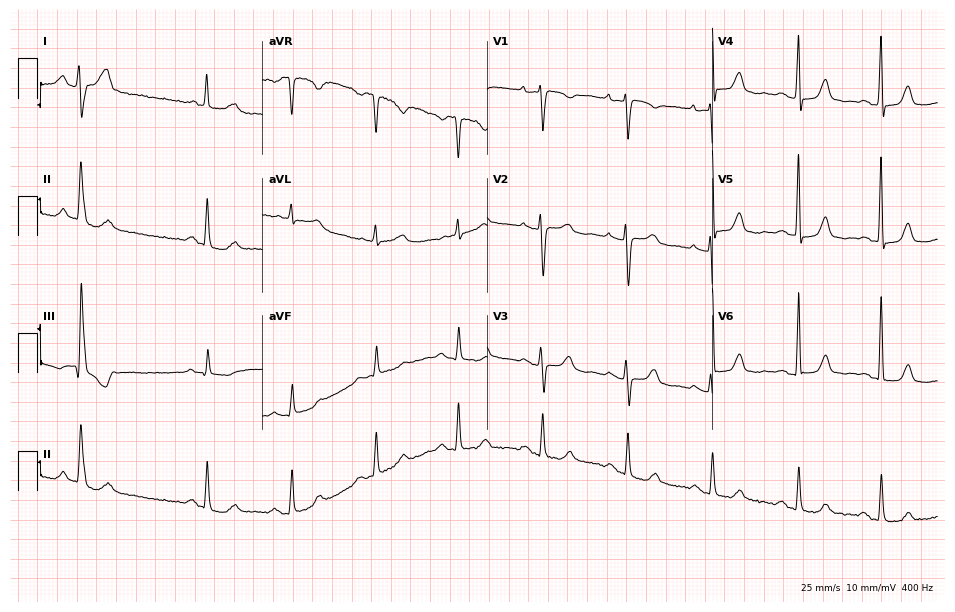
Standard 12-lead ECG recorded from a 72-year-old female (9.2-second recording at 400 Hz). Read as a normal ECG.